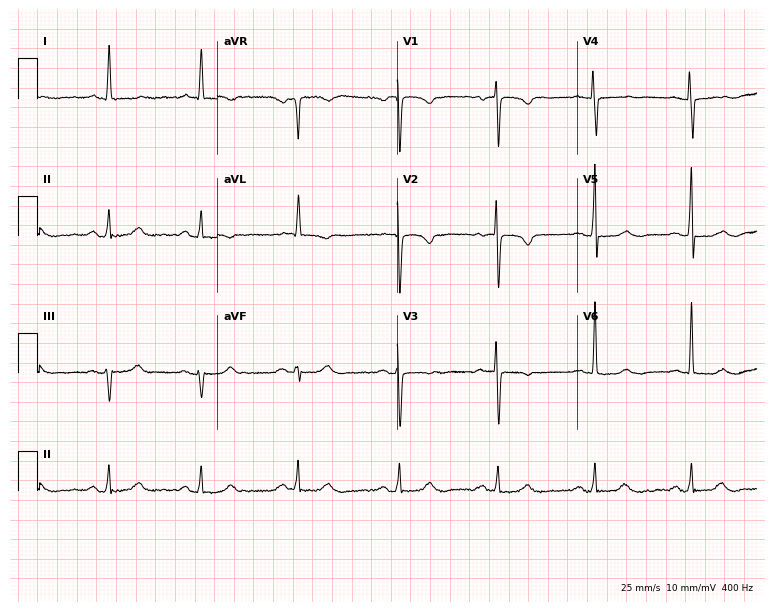
Resting 12-lead electrocardiogram (7.3-second recording at 400 Hz). Patient: a 74-year-old female. None of these six findings is recorded: first-degree AV block, right bundle branch block, left bundle branch block, sinus bradycardia, atrial fibrillation, sinus tachycardia.